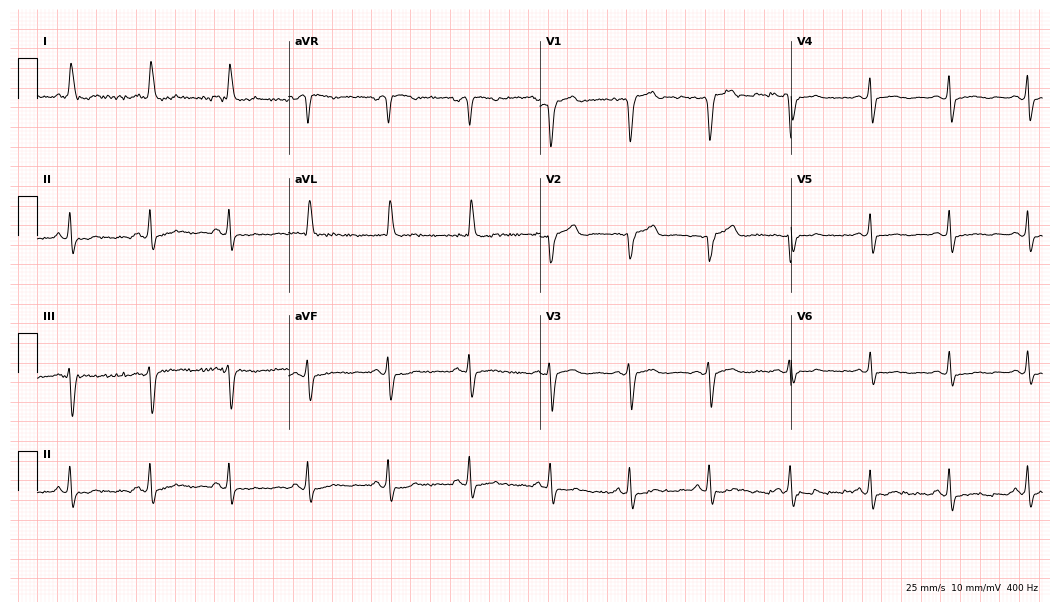
12-lead ECG from a 69-year-old woman. No first-degree AV block, right bundle branch block, left bundle branch block, sinus bradycardia, atrial fibrillation or sinus tachycardia recorded for this tracing. Only these six findings were labelled.